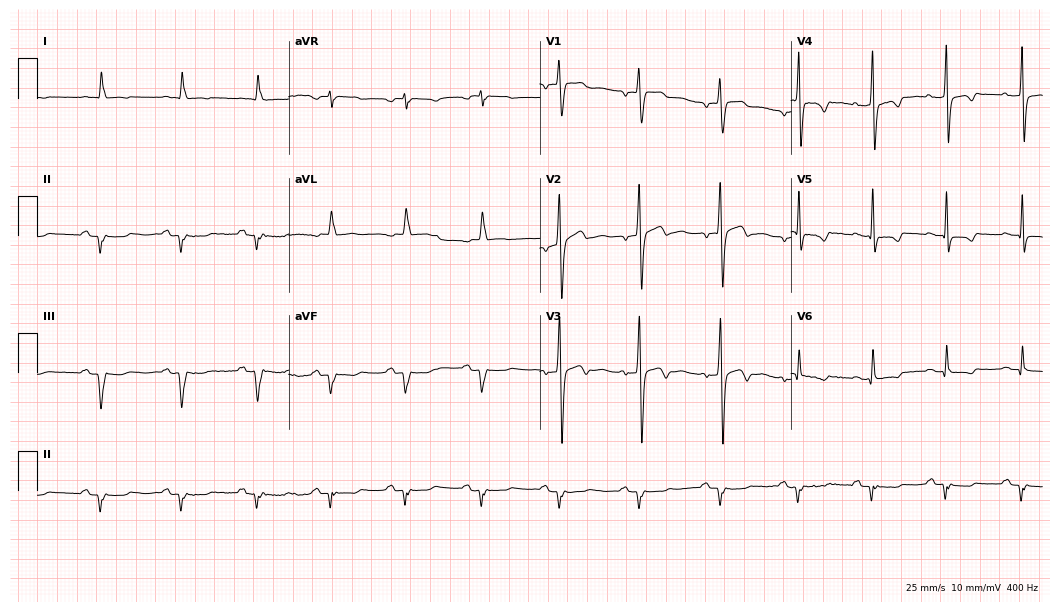
ECG (10.2-second recording at 400 Hz) — a 56-year-old woman. Screened for six findings — first-degree AV block, right bundle branch block, left bundle branch block, sinus bradycardia, atrial fibrillation, sinus tachycardia — none is recorded. Findings outside these six are not listed.